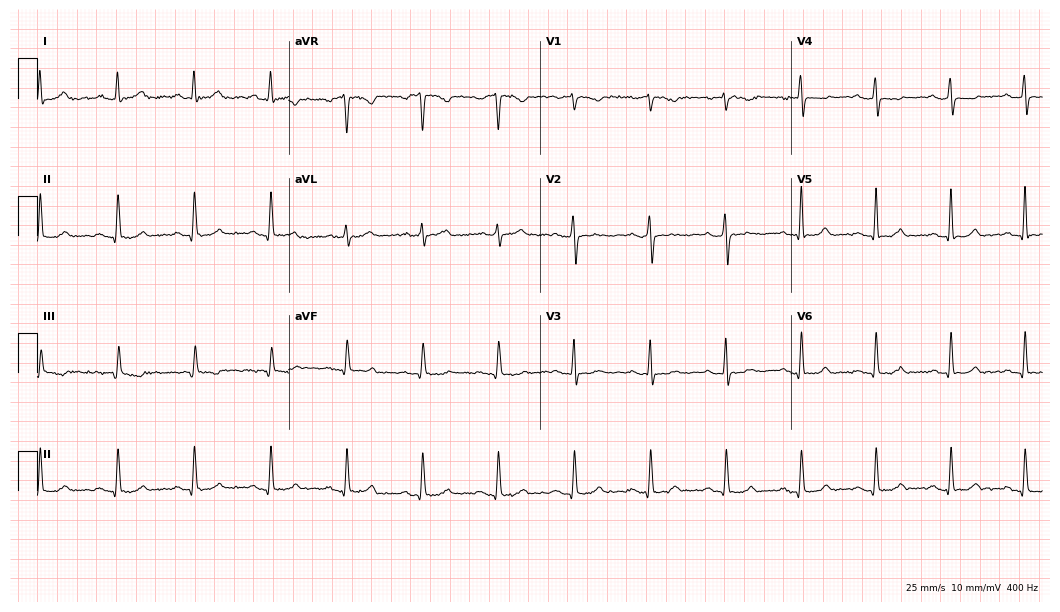
Electrocardiogram (10.2-second recording at 400 Hz), a woman, 52 years old. Overall reading on record: normal ECG.